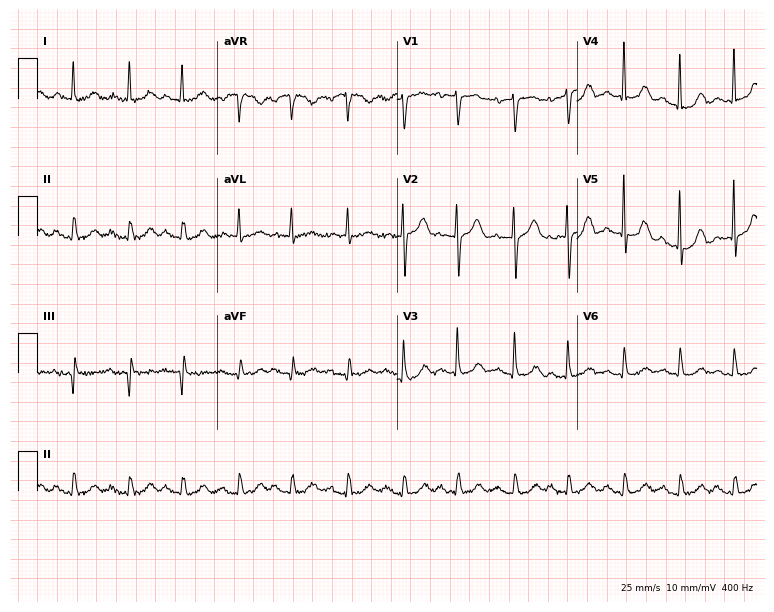
Electrocardiogram, an 84-year-old female. Interpretation includes sinus tachycardia (a sinus rate of 100 beats per minute or more).